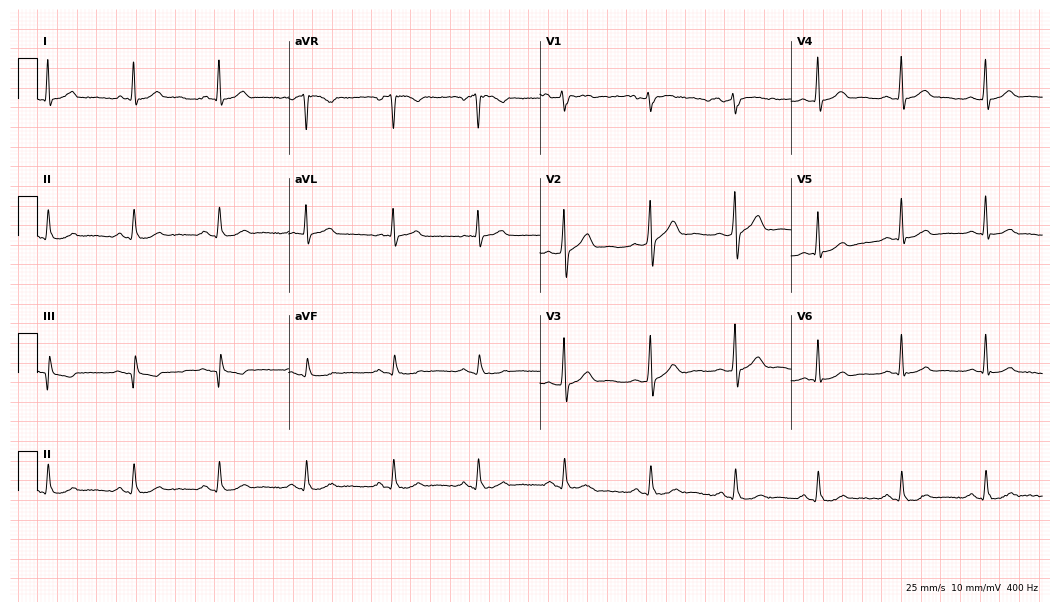
ECG (10.2-second recording at 400 Hz) — a 61-year-old male. Labelled as a normal ECG.